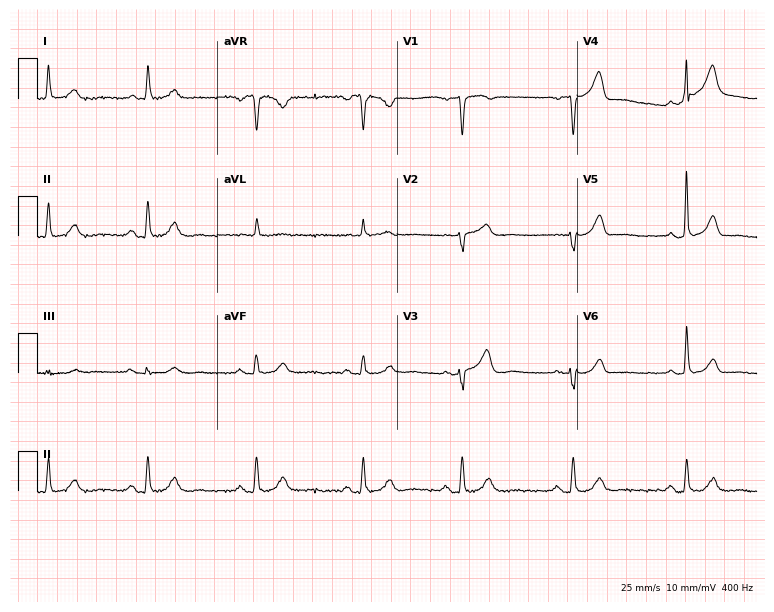
Standard 12-lead ECG recorded from a woman, 66 years old (7.3-second recording at 400 Hz). None of these six findings is recorded: first-degree AV block, right bundle branch block, left bundle branch block, sinus bradycardia, atrial fibrillation, sinus tachycardia.